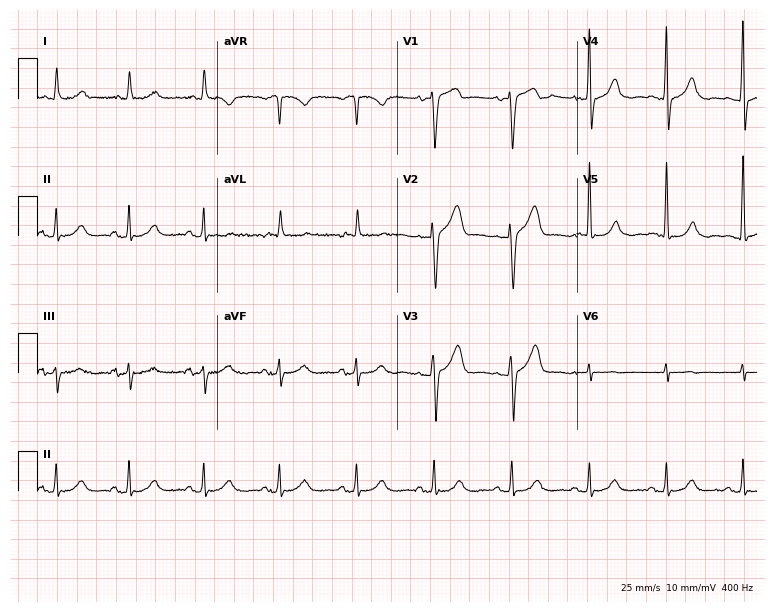
12-lead ECG from an 81-year-old male. No first-degree AV block, right bundle branch block (RBBB), left bundle branch block (LBBB), sinus bradycardia, atrial fibrillation (AF) or sinus tachycardia recorded for this tracing. Other findings, if any, are not listed.